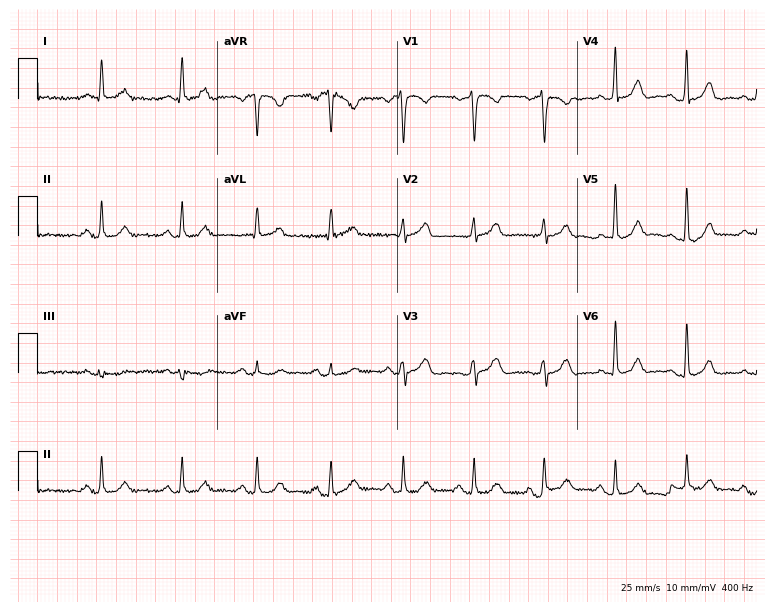
Electrocardiogram (7.3-second recording at 400 Hz), a 46-year-old female. Overall reading on record: normal ECG.